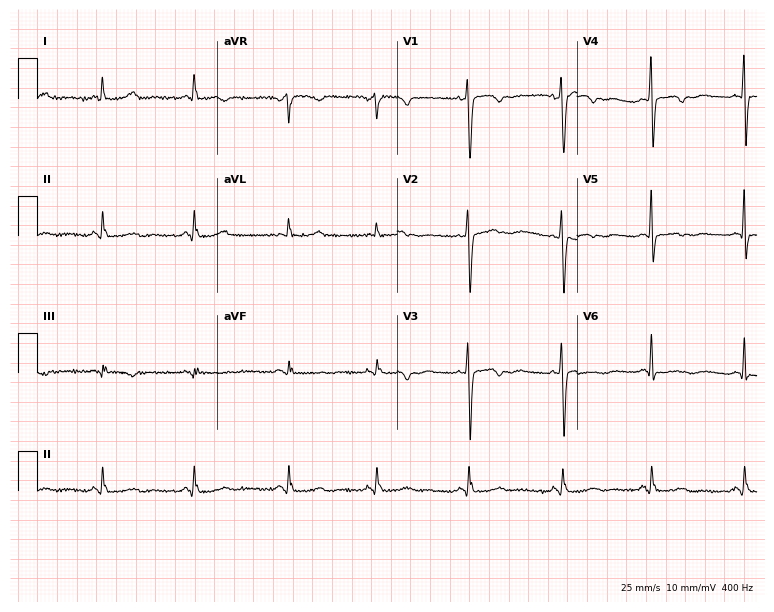
Standard 12-lead ECG recorded from a man, 59 years old (7.3-second recording at 400 Hz). None of these six findings is recorded: first-degree AV block, right bundle branch block, left bundle branch block, sinus bradycardia, atrial fibrillation, sinus tachycardia.